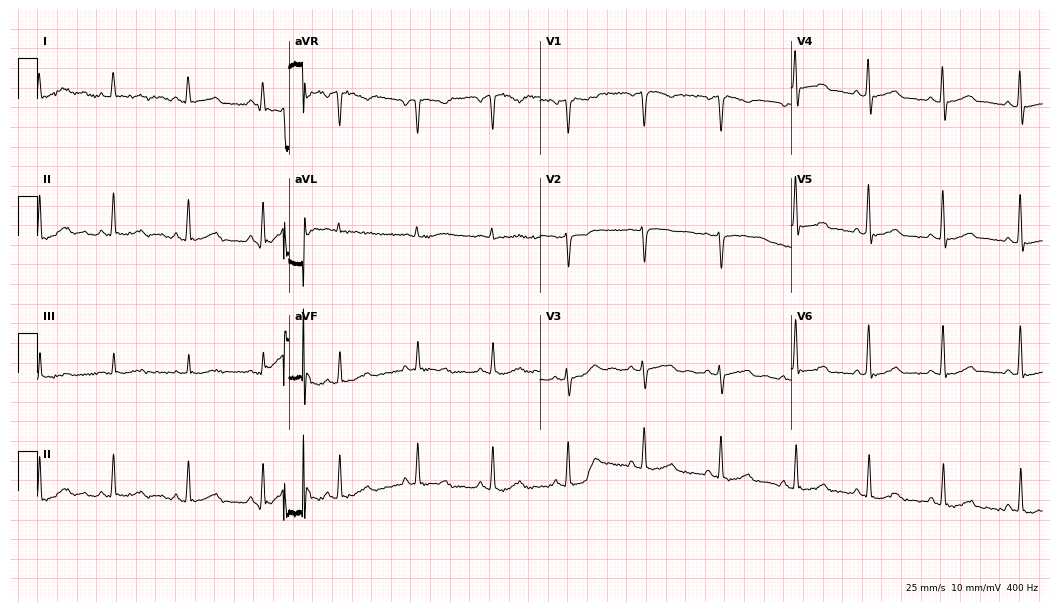
Standard 12-lead ECG recorded from a 57-year-old female. None of these six findings is recorded: first-degree AV block, right bundle branch block (RBBB), left bundle branch block (LBBB), sinus bradycardia, atrial fibrillation (AF), sinus tachycardia. Only these six findings were labelled.